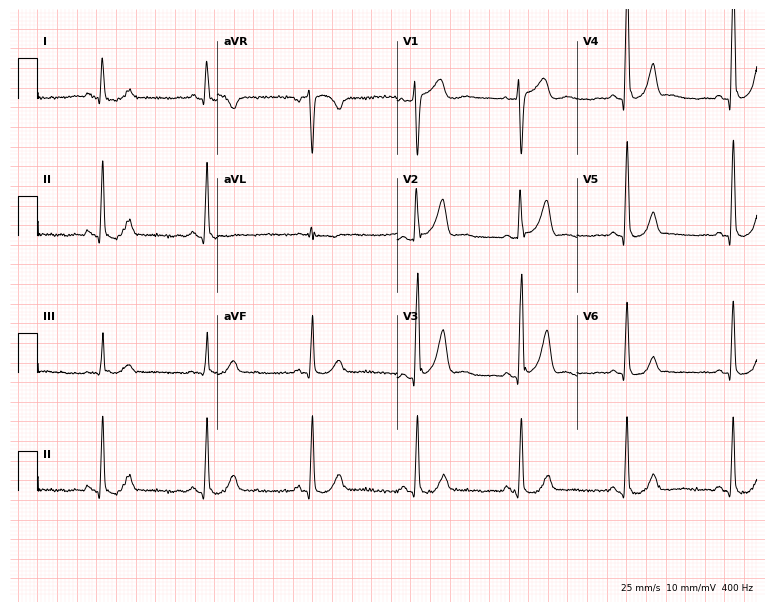
ECG (7.3-second recording at 400 Hz) — a male patient, 64 years old. Screened for six findings — first-degree AV block, right bundle branch block (RBBB), left bundle branch block (LBBB), sinus bradycardia, atrial fibrillation (AF), sinus tachycardia — none is recorded. Only these six findings were labelled.